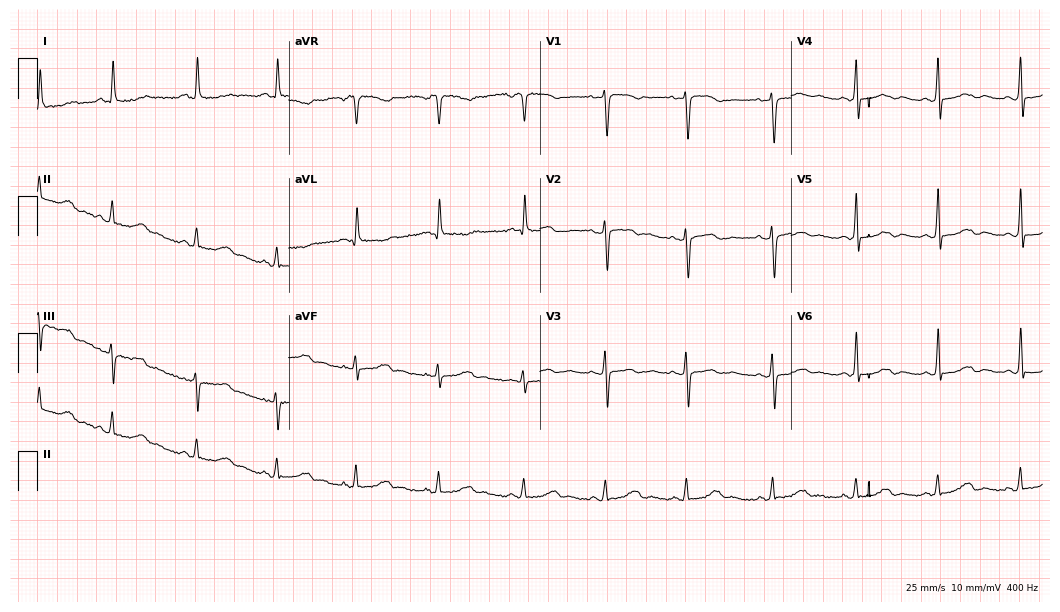
12-lead ECG (10.2-second recording at 400 Hz) from a female patient, 54 years old. Screened for six findings — first-degree AV block, right bundle branch block, left bundle branch block, sinus bradycardia, atrial fibrillation, sinus tachycardia — none is recorded. Other findings, if any, are not listed.